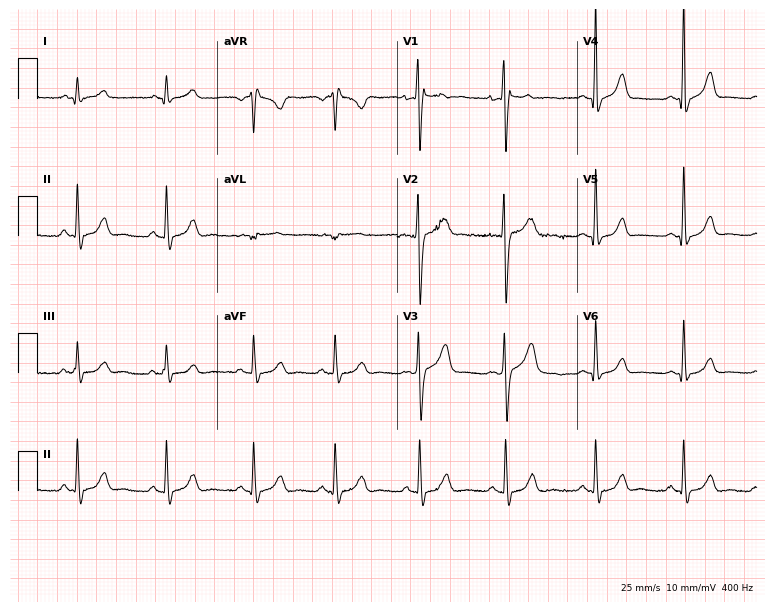
ECG (7.3-second recording at 400 Hz) — a male, 31 years old. Labelled as a normal ECG.